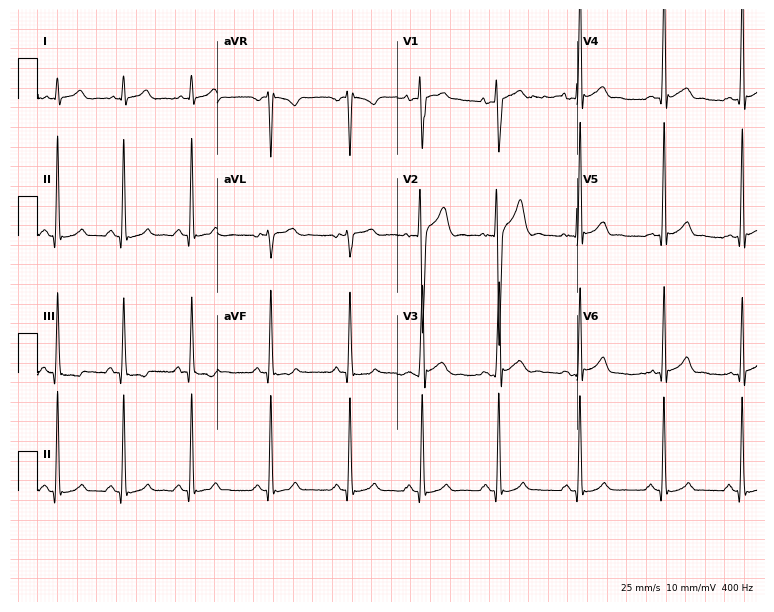
Electrocardiogram (7.3-second recording at 400 Hz), an 18-year-old male. Overall reading on record: normal ECG.